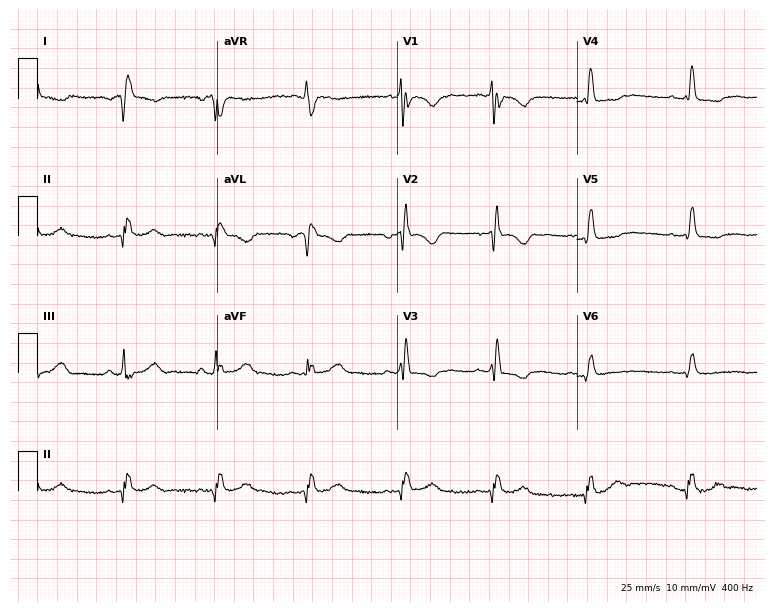
Resting 12-lead electrocardiogram. Patient: a woman, 62 years old. None of these six findings is recorded: first-degree AV block, right bundle branch block, left bundle branch block, sinus bradycardia, atrial fibrillation, sinus tachycardia. Other findings, if any, are not listed.